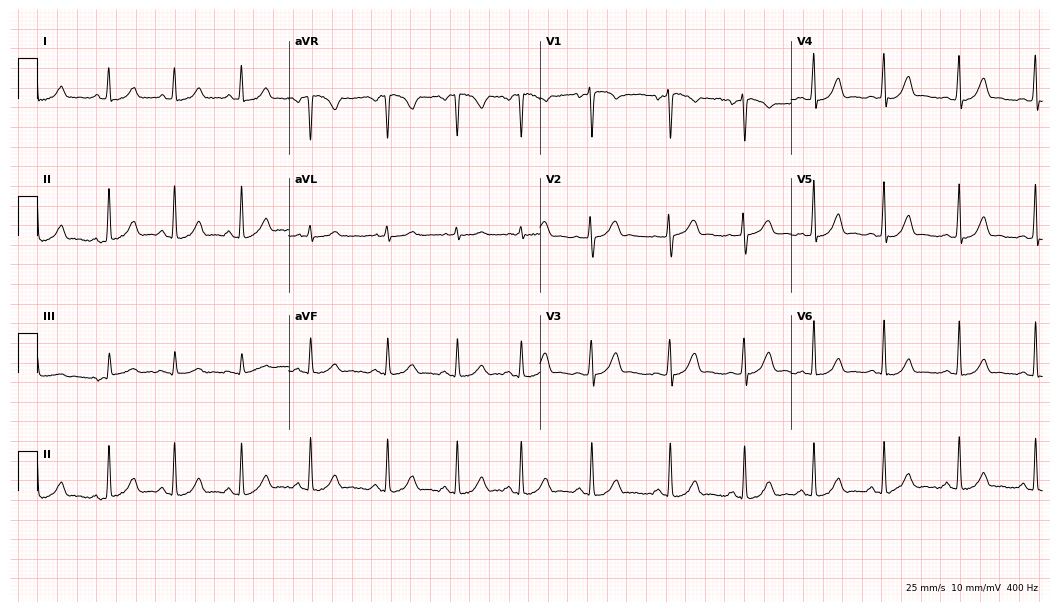
Standard 12-lead ECG recorded from a woman, 22 years old (10.2-second recording at 400 Hz). Read as a normal ECG.